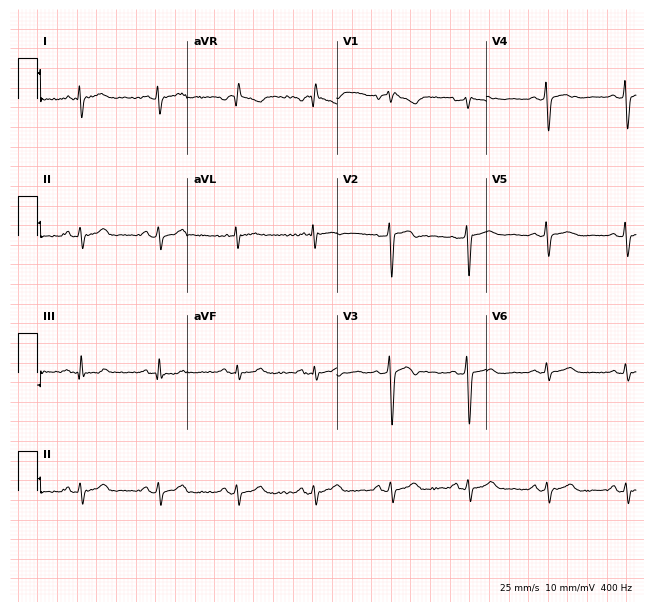
ECG (6.1-second recording at 400 Hz) — a female patient, 55 years old. Screened for six findings — first-degree AV block, right bundle branch block (RBBB), left bundle branch block (LBBB), sinus bradycardia, atrial fibrillation (AF), sinus tachycardia — none is recorded.